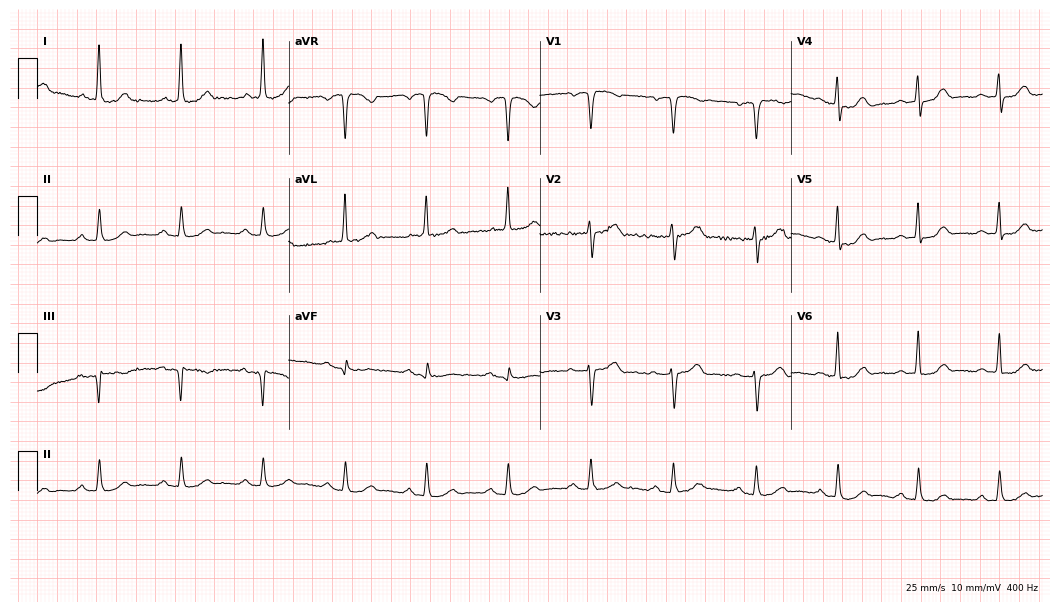
Standard 12-lead ECG recorded from a 71-year-old woman (10.2-second recording at 400 Hz). Read as a normal ECG.